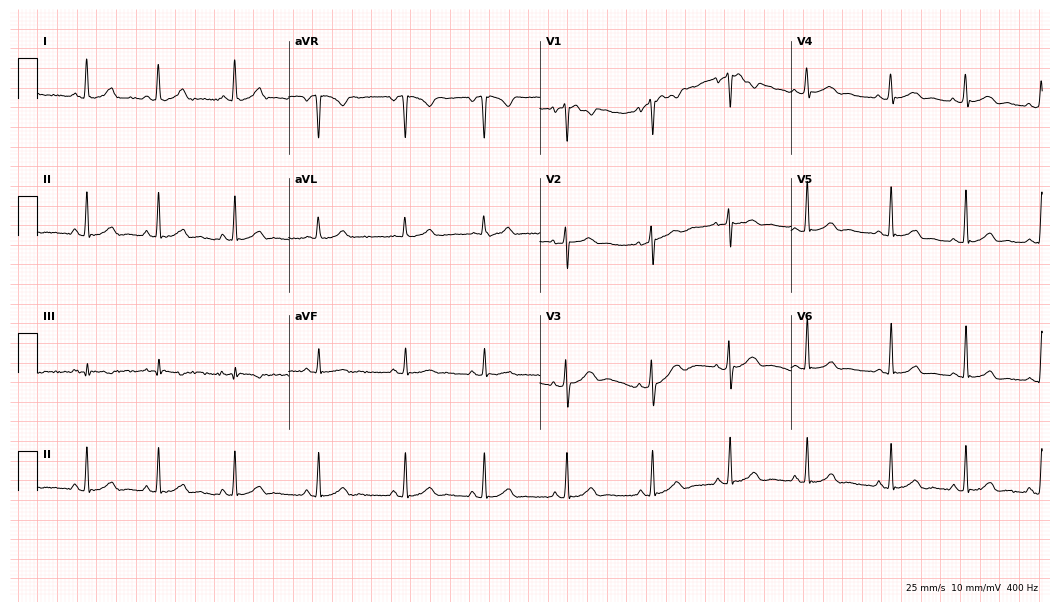
Electrocardiogram (10.2-second recording at 400 Hz), a female, 20 years old. Overall reading on record: normal ECG.